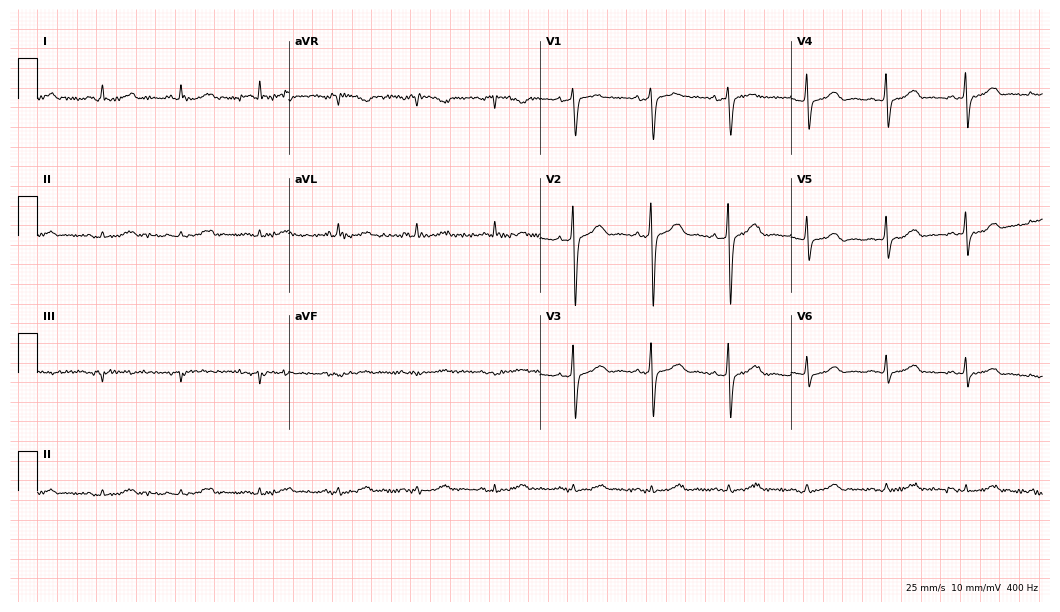
Electrocardiogram, a woman, 83 years old. Overall reading on record: normal ECG.